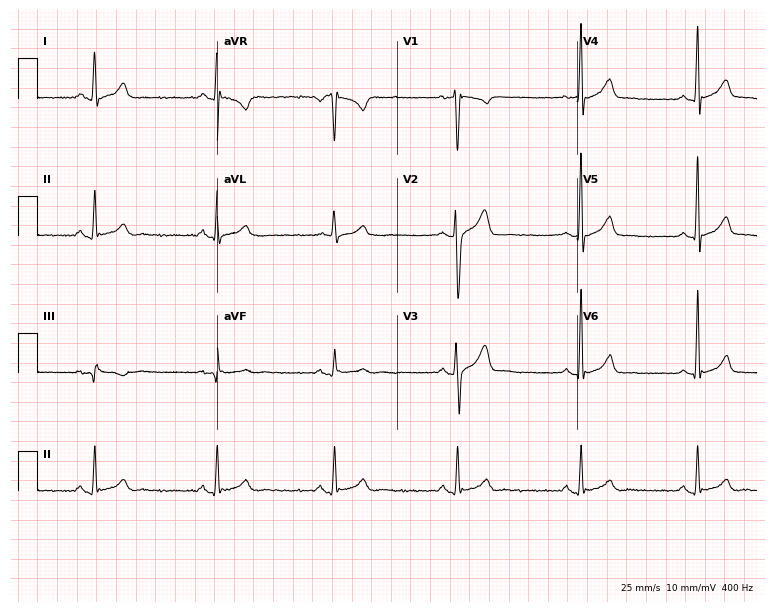
Resting 12-lead electrocardiogram. Patient: a 24-year-old male. Read as a normal ECG.